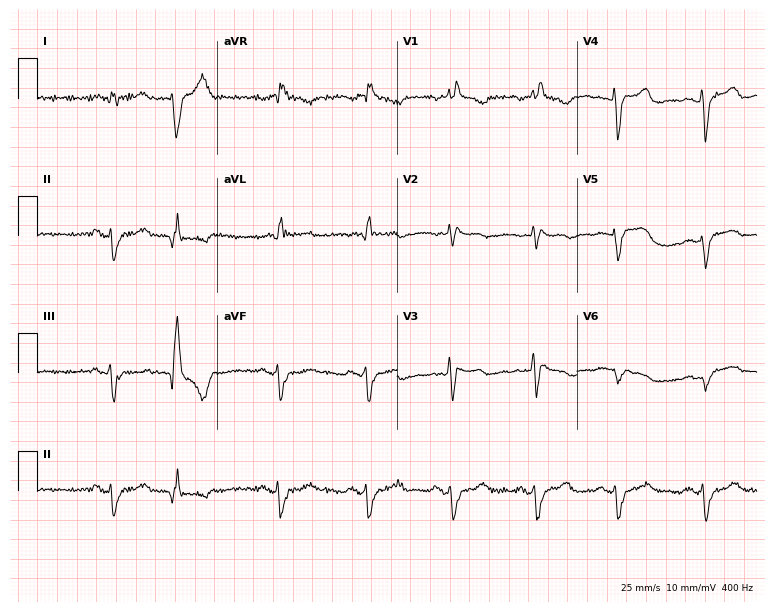
12-lead ECG from a 71-year-old woman (7.3-second recording at 400 Hz). No first-degree AV block, right bundle branch block, left bundle branch block, sinus bradycardia, atrial fibrillation or sinus tachycardia recorded for this tracing.